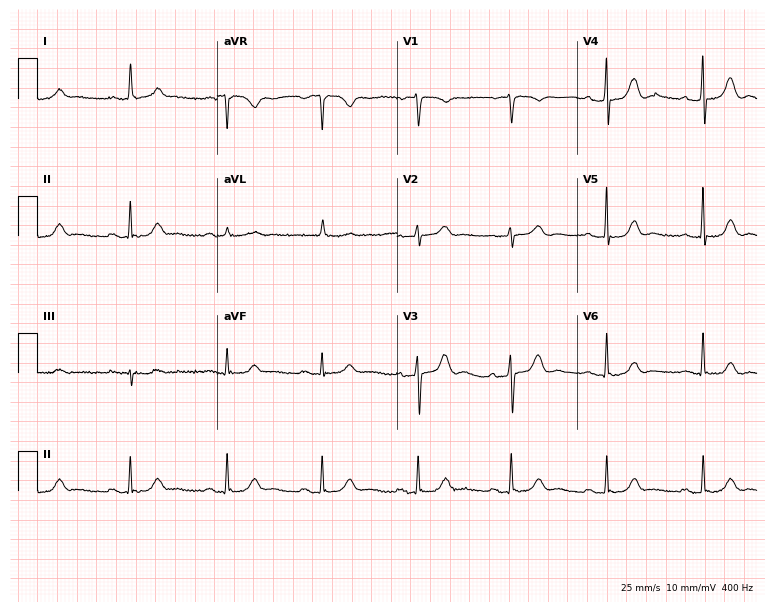
Standard 12-lead ECG recorded from a 74-year-old female. None of these six findings is recorded: first-degree AV block, right bundle branch block (RBBB), left bundle branch block (LBBB), sinus bradycardia, atrial fibrillation (AF), sinus tachycardia.